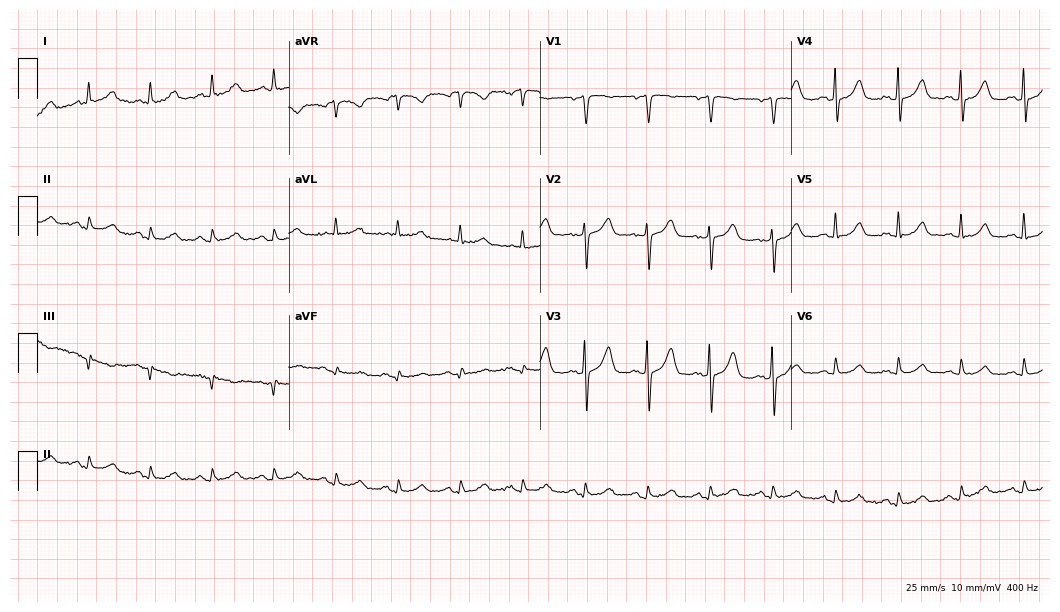
Electrocardiogram (10.2-second recording at 400 Hz), a female, 67 years old. Overall reading on record: normal ECG.